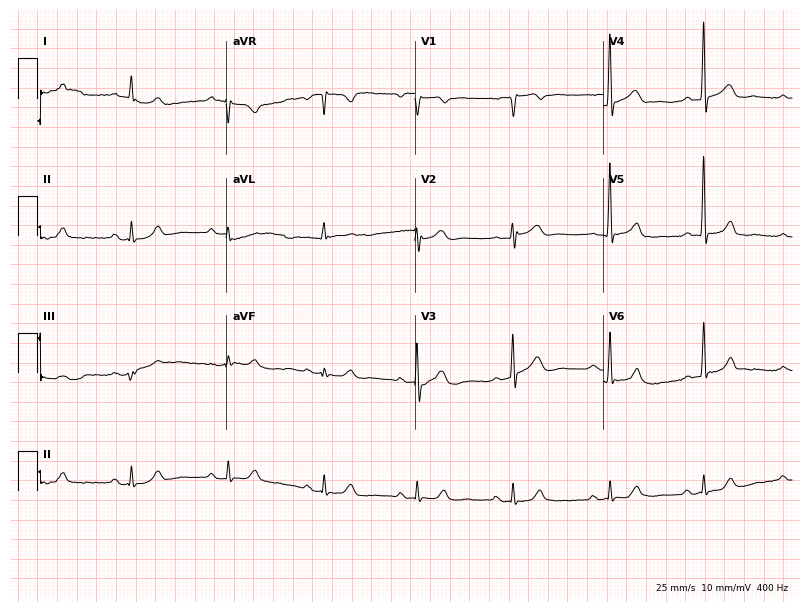
ECG — a 79-year-old male. Screened for six findings — first-degree AV block, right bundle branch block (RBBB), left bundle branch block (LBBB), sinus bradycardia, atrial fibrillation (AF), sinus tachycardia — none is recorded. Only these six findings were labelled.